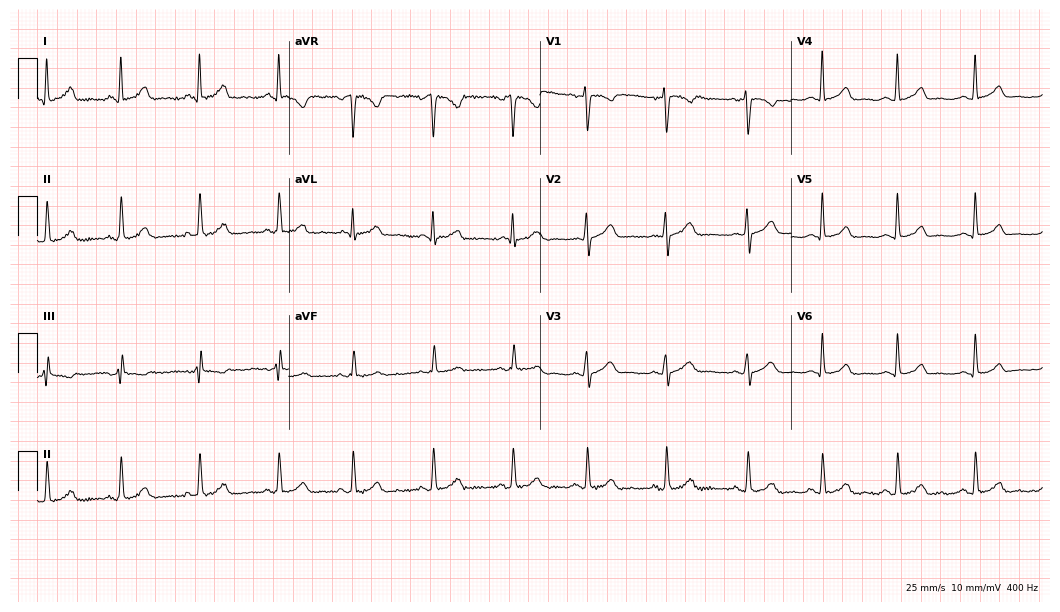
12-lead ECG (10.2-second recording at 400 Hz) from a female, 21 years old. Labelled as a normal ECG.